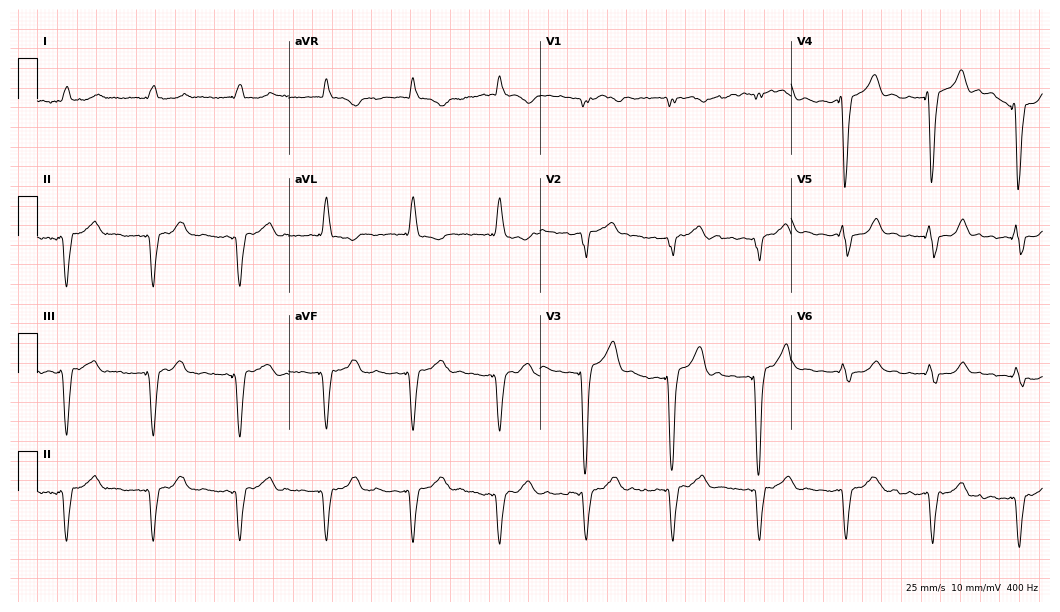
12-lead ECG from an 84-year-old male (10.2-second recording at 400 Hz). No first-degree AV block, right bundle branch block, left bundle branch block, sinus bradycardia, atrial fibrillation or sinus tachycardia recorded for this tracing.